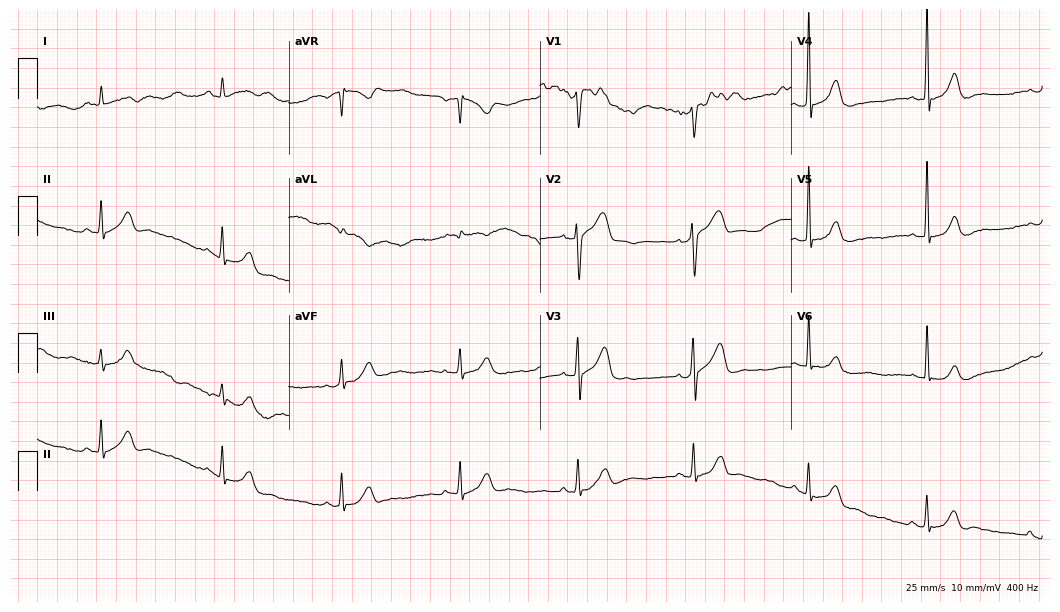
ECG (10.2-second recording at 400 Hz) — a man, 65 years old. Screened for six findings — first-degree AV block, right bundle branch block (RBBB), left bundle branch block (LBBB), sinus bradycardia, atrial fibrillation (AF), sinus tachycardia — none is recorded. Findings outside these six are not listed.